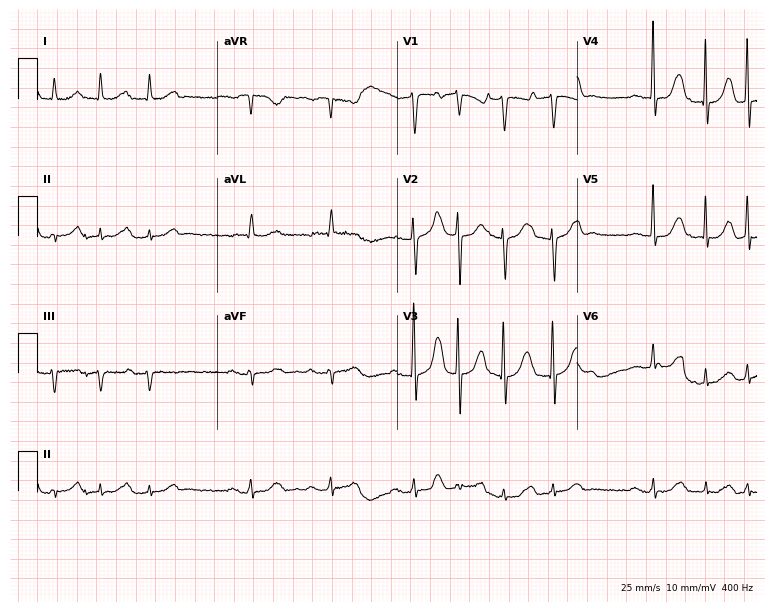
Electrocardiogram (7.3-second recording at 400 Hz), a woman, 81 years old. Of the six screened findings (first-degree AV block, right bundle branch block, left bundle branch block, sinus bradycardia, atrial fibrillation, sinus tachycardia), none is recorded. Findings outside these six are not listed.